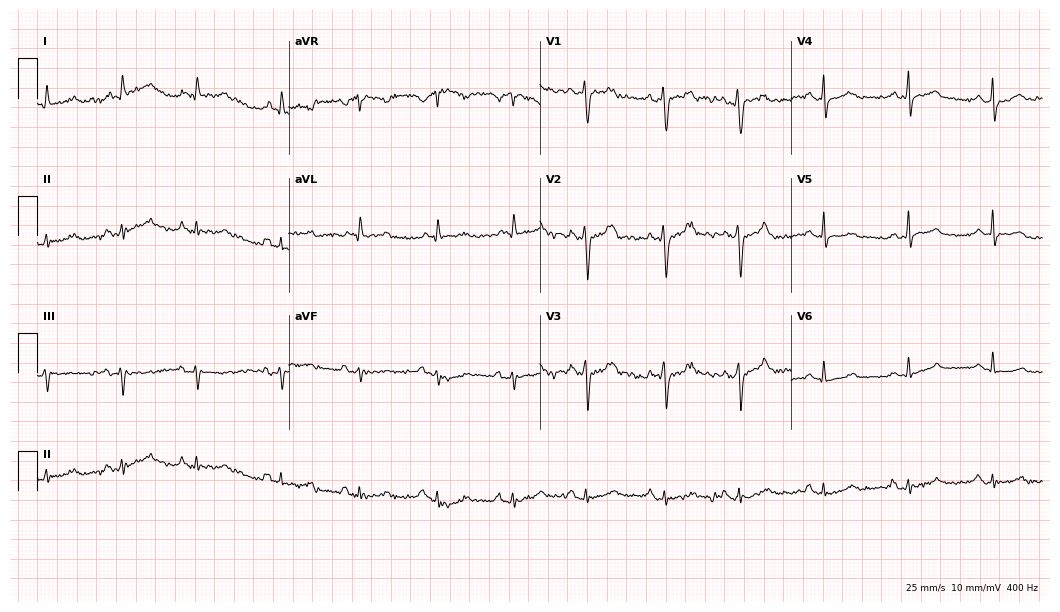
12-lead ECG from a 29-year-old male patient. Labelled as a normal ECG.